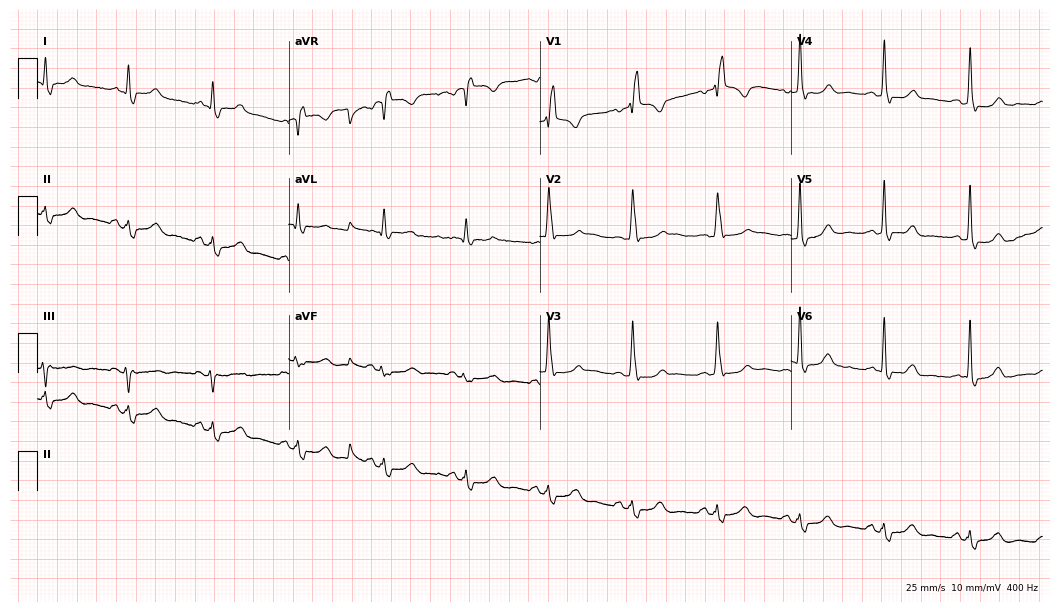
Standard 12-lead ECG recorded from a 54-year-old female patient (10.2-second recording at 400 Hz). The tracing shows right bundle branch block.